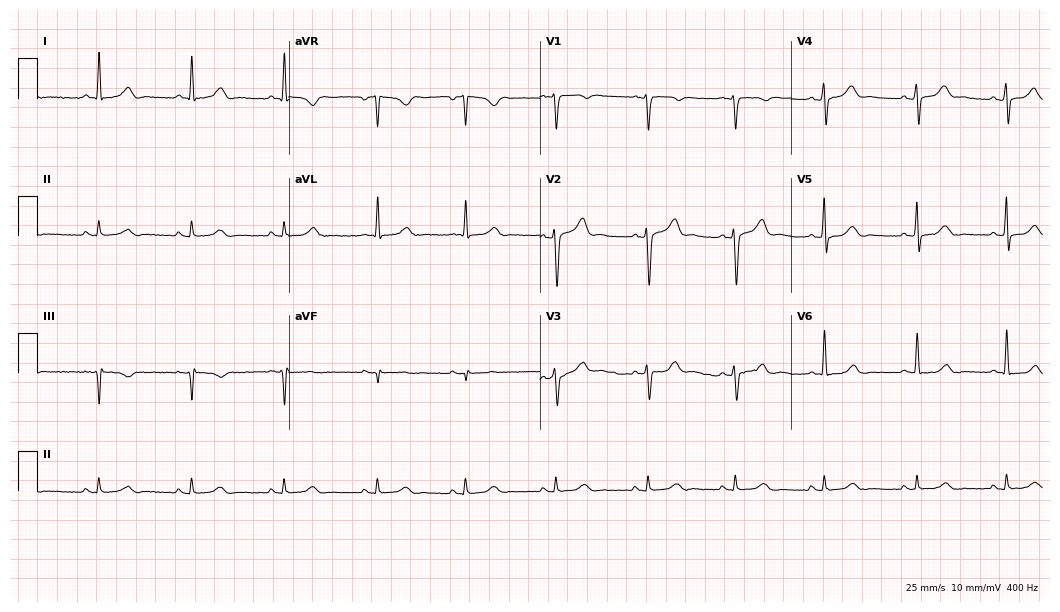
ECG — a male patient, 45 years old. Screened for six findings — first-degree AV block, right bundle branch block, left bundle branch block, sinus bradycardia, atrial fibrillation, sinus tachycardia — none is recorded. Only these six findings were labelled.